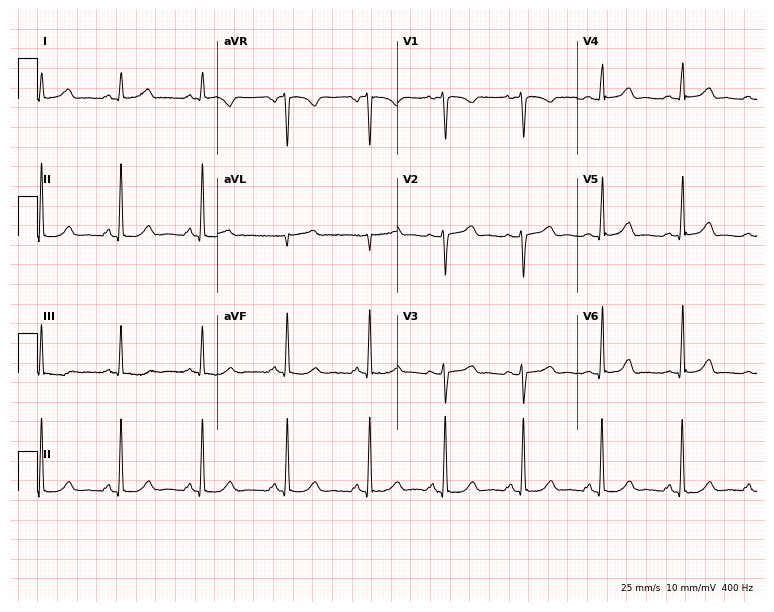
ECG (7.3-second recording at 400 Hz) — a female patient, 38 years old. Labelled as a normal ECG.